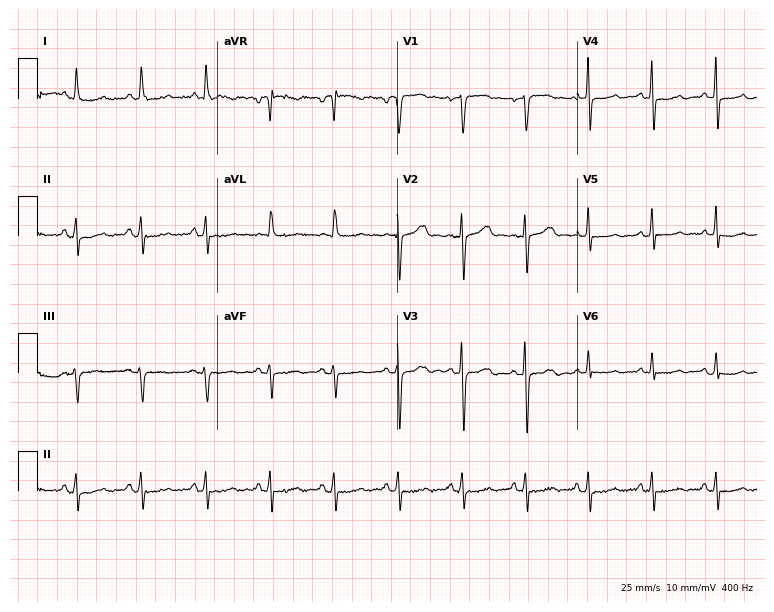
Electrocardiogram, a female, 73 years old. Of the six screened findings (first-degree AV block, right bundle branch block, left bundle branch block, sinus bradycardia, atrial fibrillation, sinus tachycardia), none is recorded. Findings outside these six are not listed.